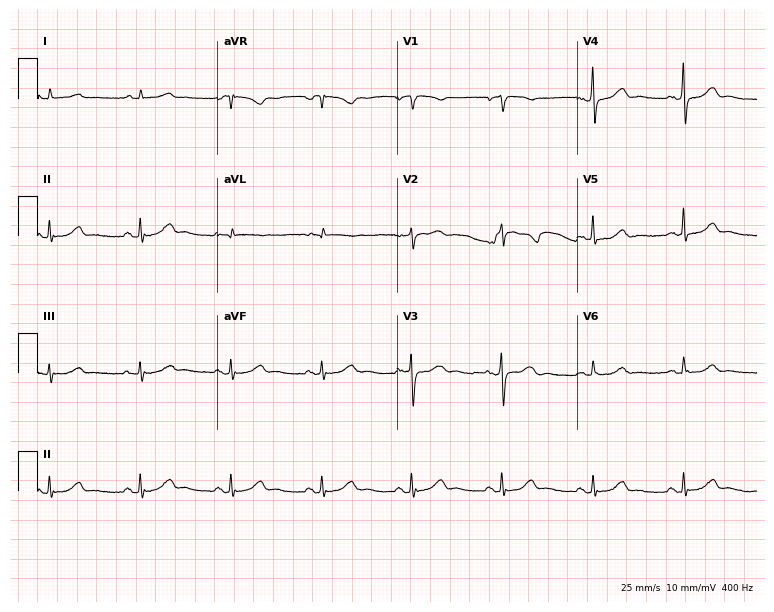
Resting 12-lead electrocardiogram (7.3-second recording at 400 Hz). Patient: a female, 65 years old. Read as a normal ECG.